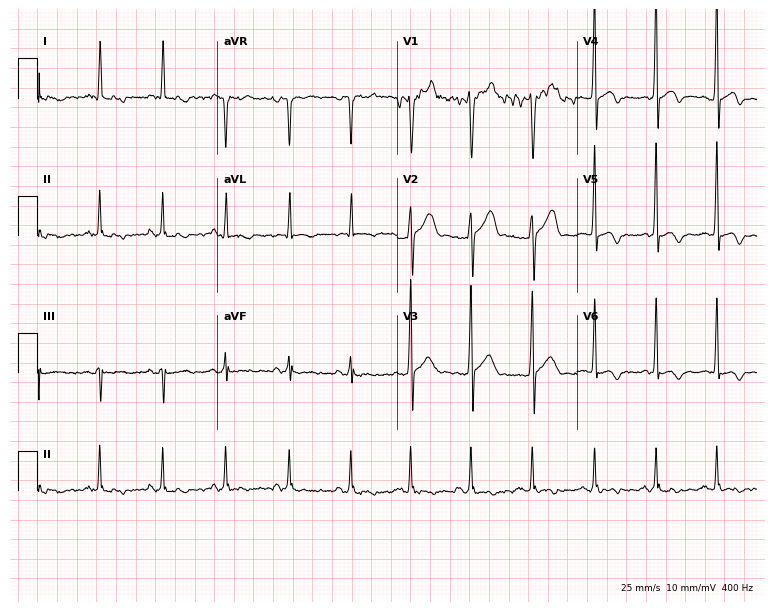
Standard 12-lead ECG recorded from a 31-year-old male patient (7.3-second recording at 400 Hz). None of these six findings is recorded: first-degree AV block, right bundle branch block, left bundle branch block, sinus bradycardia, atrial fibrillation, sinus tachycardia.